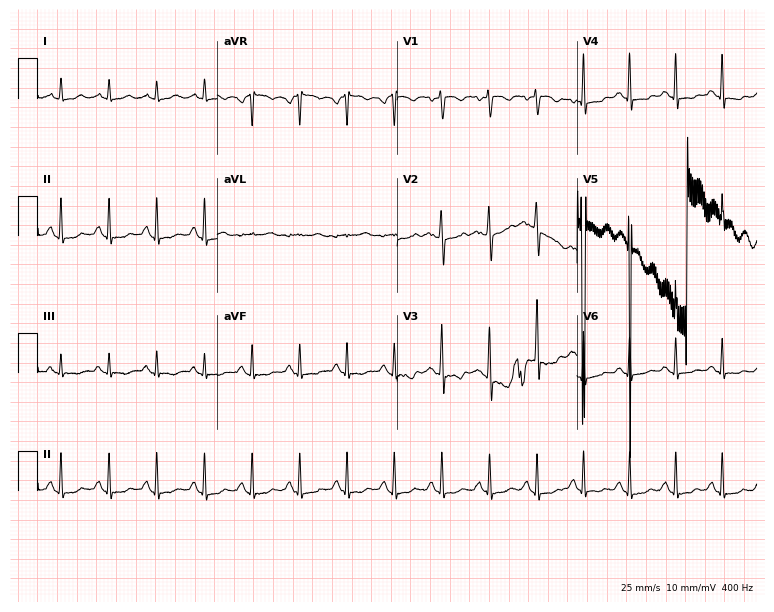
12-lead ECG from a female, 22 years old. Shows atrial fibrillation, sinus tachycardia (a sinus rate of 100 beats per minute or more).